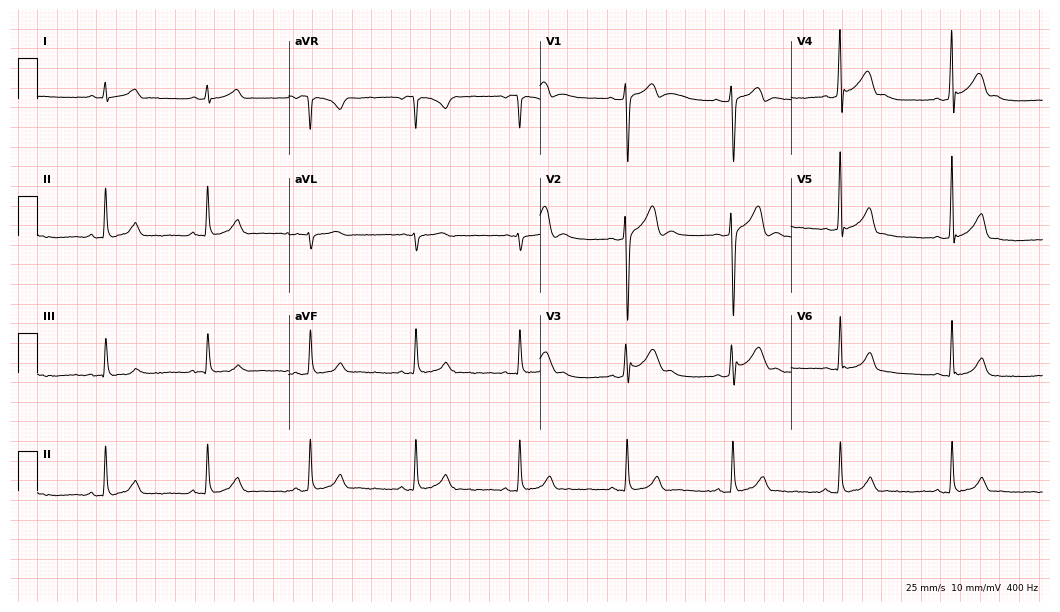
Standard 12-lead ECG recorded from a 19-year-old male (10.2-second recording at 400 Hz). Read as a normal ECG.